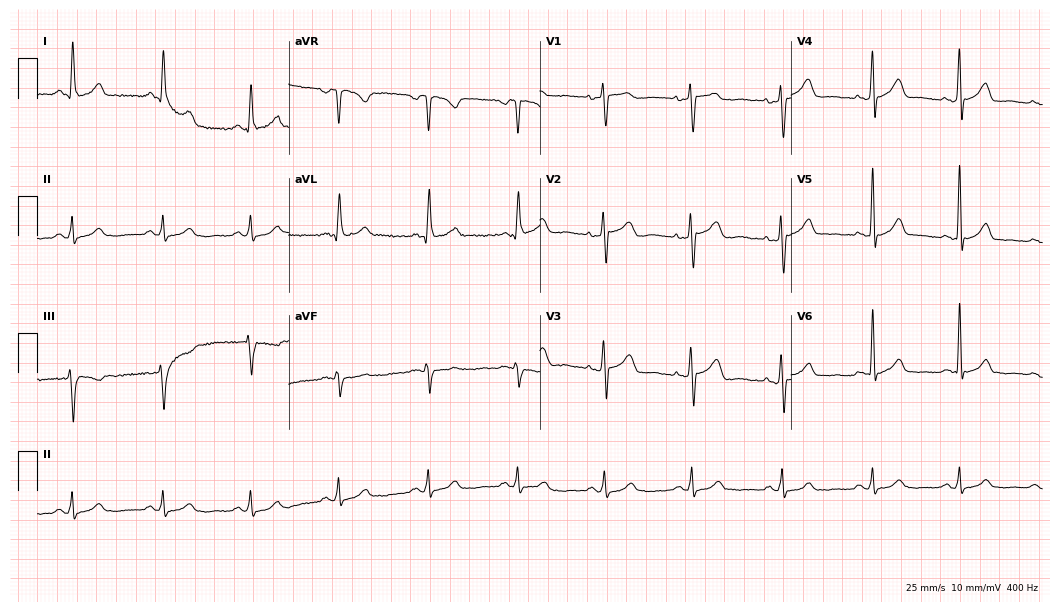
Electrocardiogram (10.2-second recording at 400 Hz), a 59-year-old woman. Overall reading on record: normal ECG.